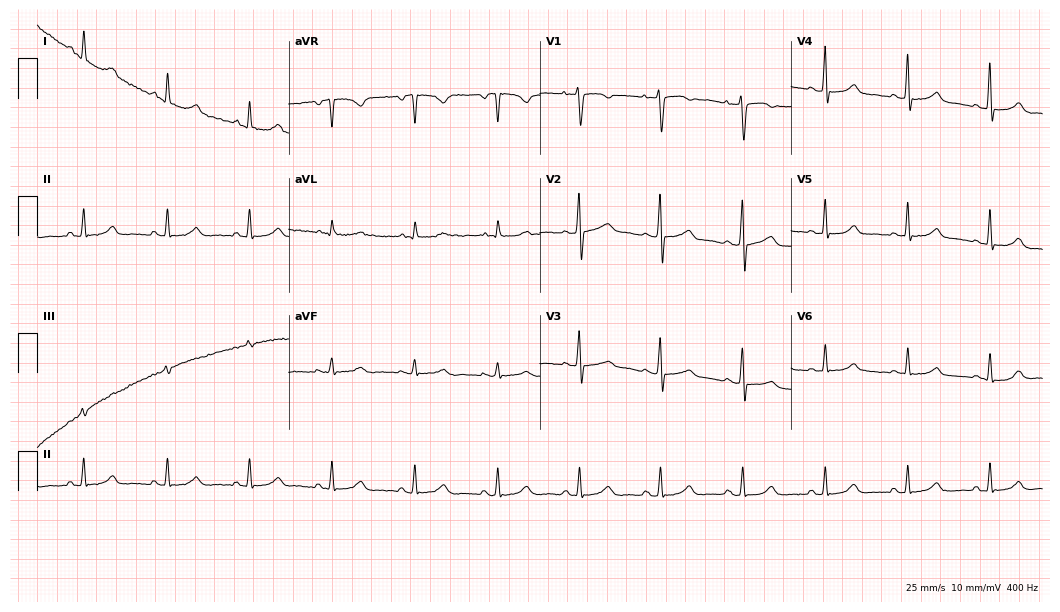
12-lead ECG (10.2-second recording at 400 Hz) from a 53-year-old woman. Labelled as a normal ECG.